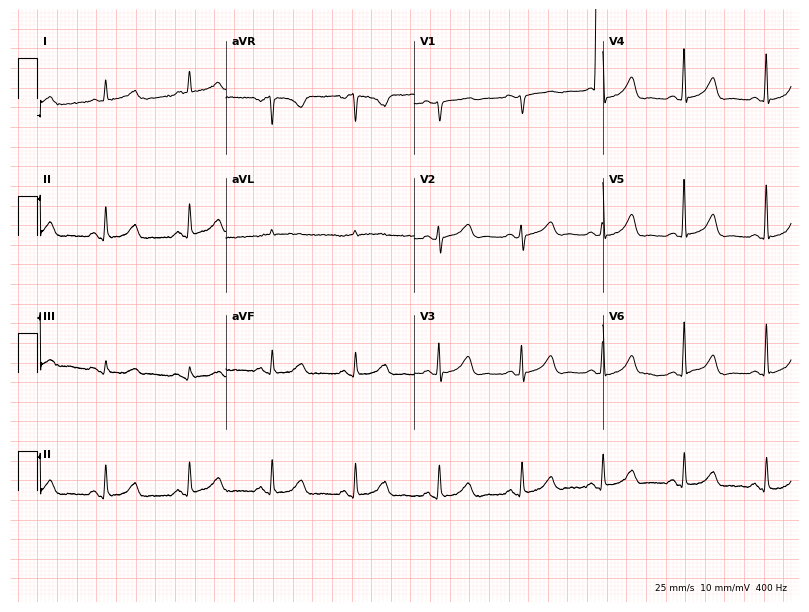
12-lead ECG (7.7-second recording at 400 Hz) from a woman, 72 years old. Screened for six findings — first-degree AV block, right bundle branch block, left bundle branch block, sinus bradycardia, atrial fibrillation, sinus tachycardia — none is recorded. Other findings, if any, are not listed.